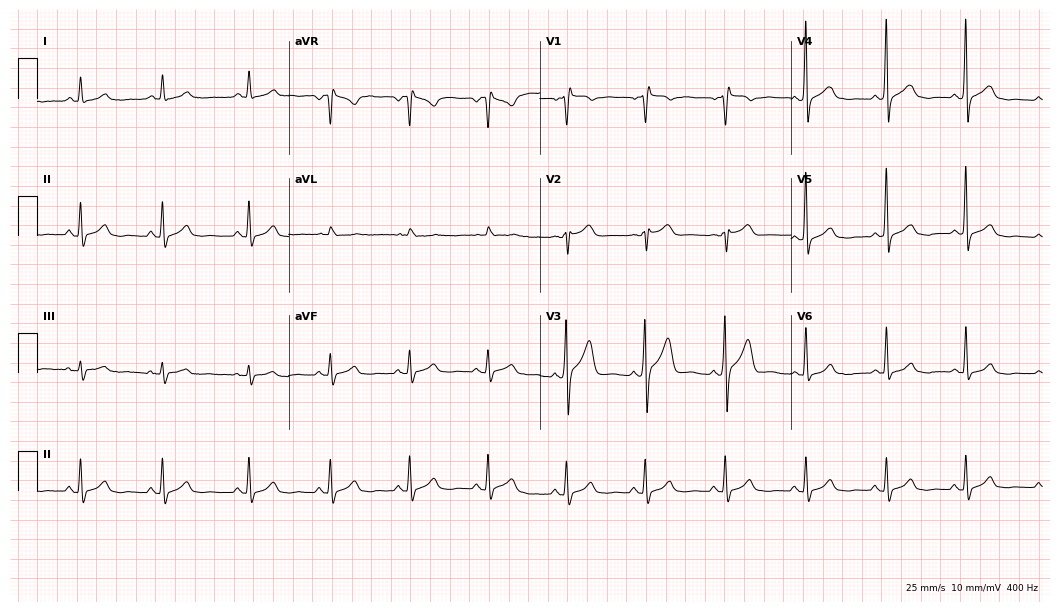
ECG — a man, 42 years old. Screened for six findings — first-degree AV block, right bundle branch block (RBBB), left bundle branch block (LBBB), sinus bradycardia, atrial fibrillation (AF), sinus tachycardia — none is recorded.